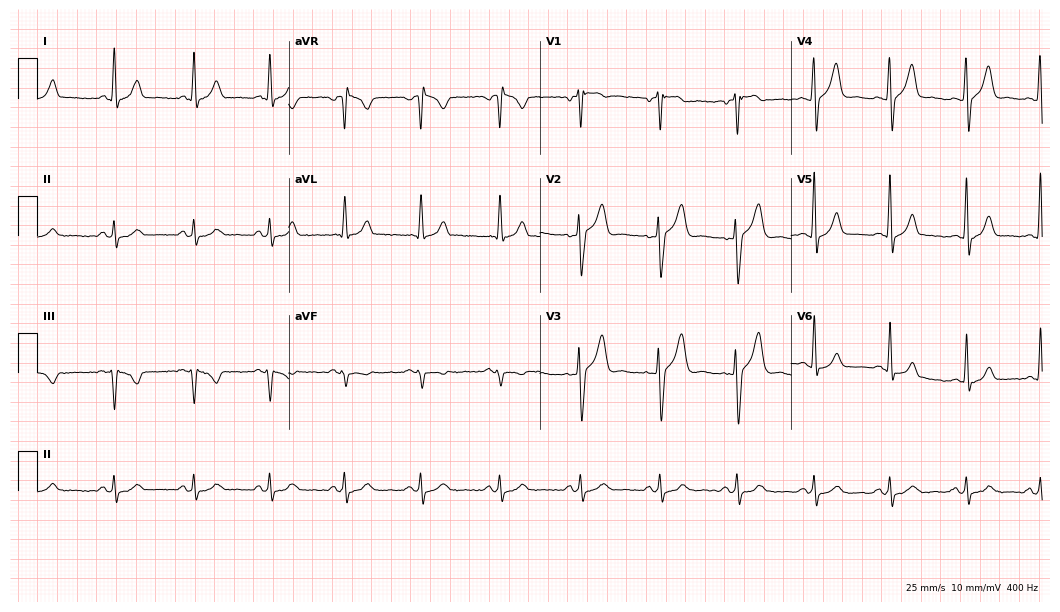
12-lead ECG from a male, 39 years old. Labelled as a normal ECG.